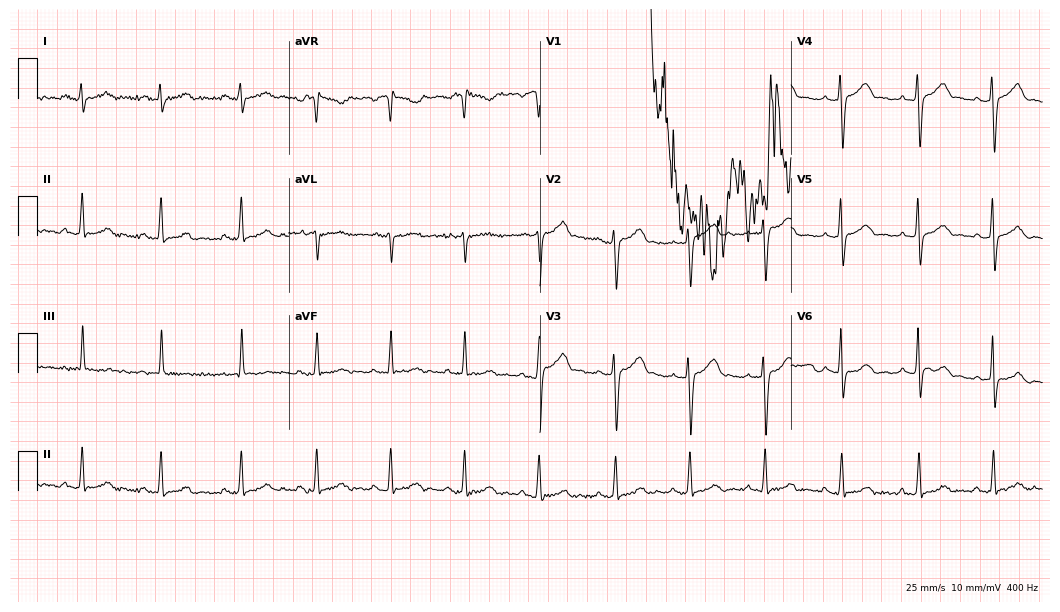
Standard 12-lead ECG recorded from a 27-year-old female patient (10.2-second recording at 400 Hz). None of these six findings is recorded: first-degree AV block, right bundle branch block (RBBB), left bundle branch block (LBBB), sinus bradycardia, atrial fibrillation (AF), sinus tachycardia. Other findings, if any, are not listed.